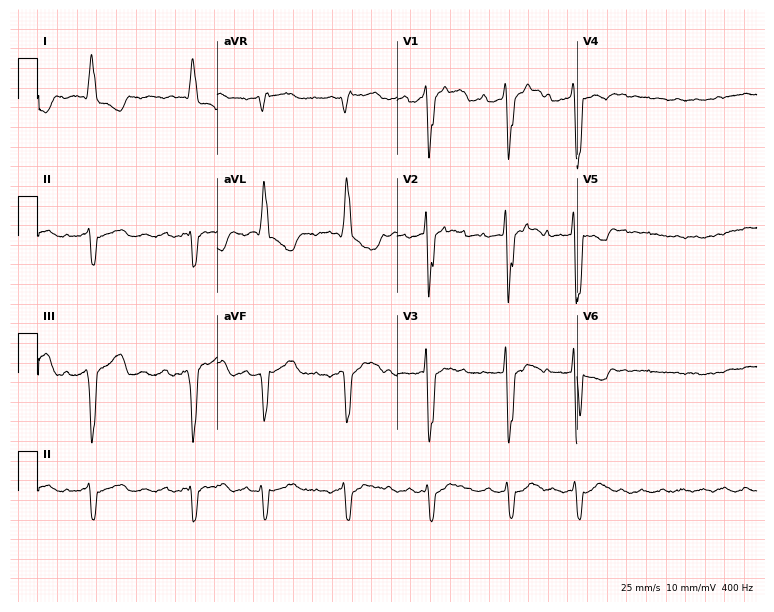
ECG (7.3-second recording at 400 Hz) — a 76-year-old man. Screened for six findings — first-degree AV block, right bundle branch block, left bundle branch block, sinus bradycardia, atrial fibrillation, sinus tachycardia — none is recorded. Other findings, if any, are not listed.